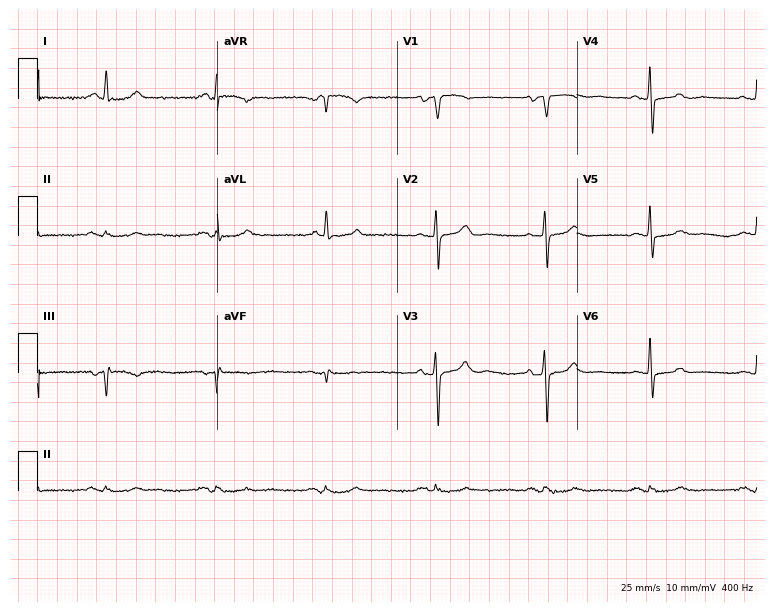
12-lead ECG (7.3-second recording at 400 Hz) from a 67-year-old man. Screened for six findings — first-degree AV block, right bundle branch block, left bundle branch block, sinus bradycardia, atrial fibrillation, sinus tachycardia — none is recorded. Only these six findings were labelled.